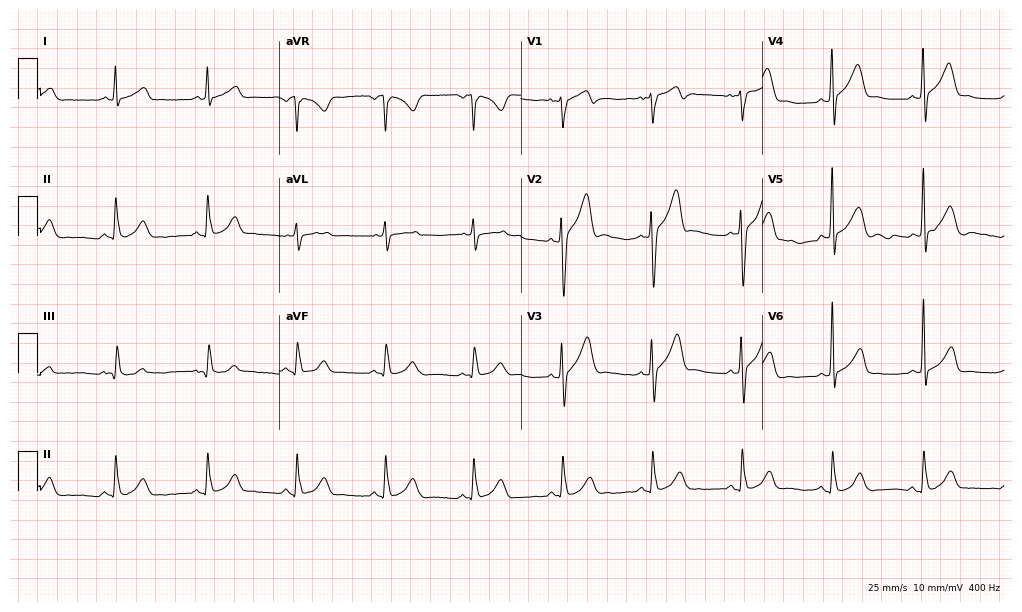
12-lead ECG from a man, 45 years old. Recorded interpretation: within normal limits.